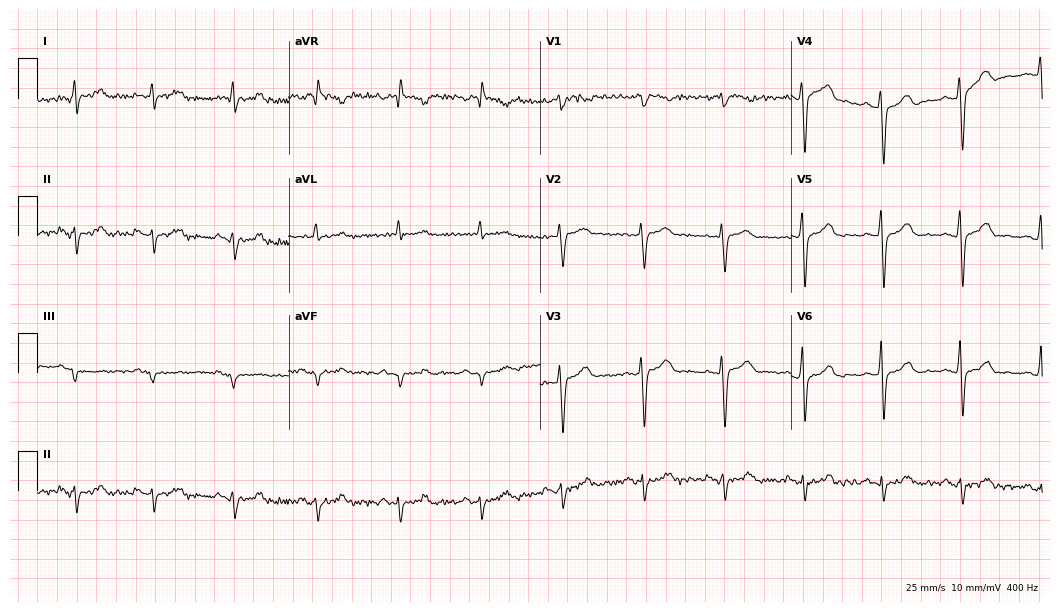
12-lead ECG (10.2-second recording at 400 Hz) from a 68-year-old man. Screened for six findings — first-degree AV block, right bundle branch block, left bundle branch block, sinus bradycardia, atrial fibrillation, sinus tachycardia — none is recorded. Findings outside these six are not listed.